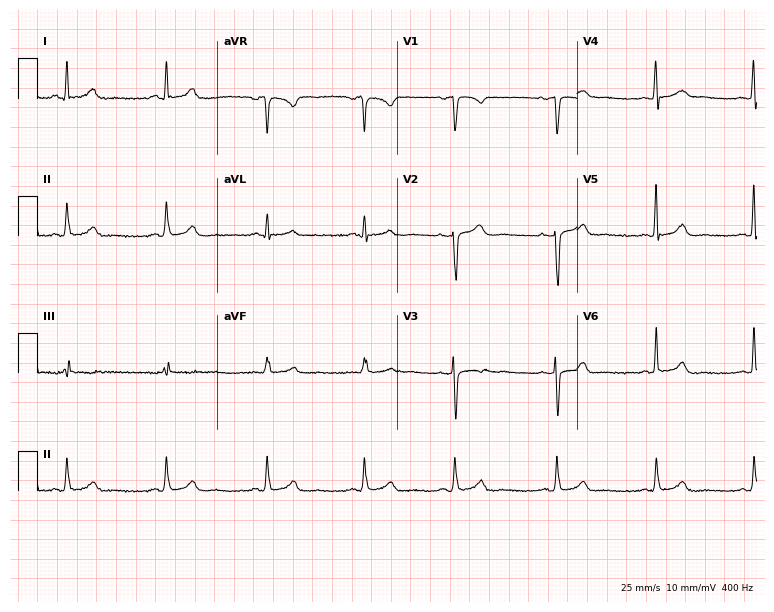
12-lead ECG from a female, 24 years old. No first-degree AV block, right bundle branch block (RBBB), left bundle branch block (LBBB), sinus bradycardia, atrial fibrillation (AF) or sinus tachycardia recorded for this tracing.